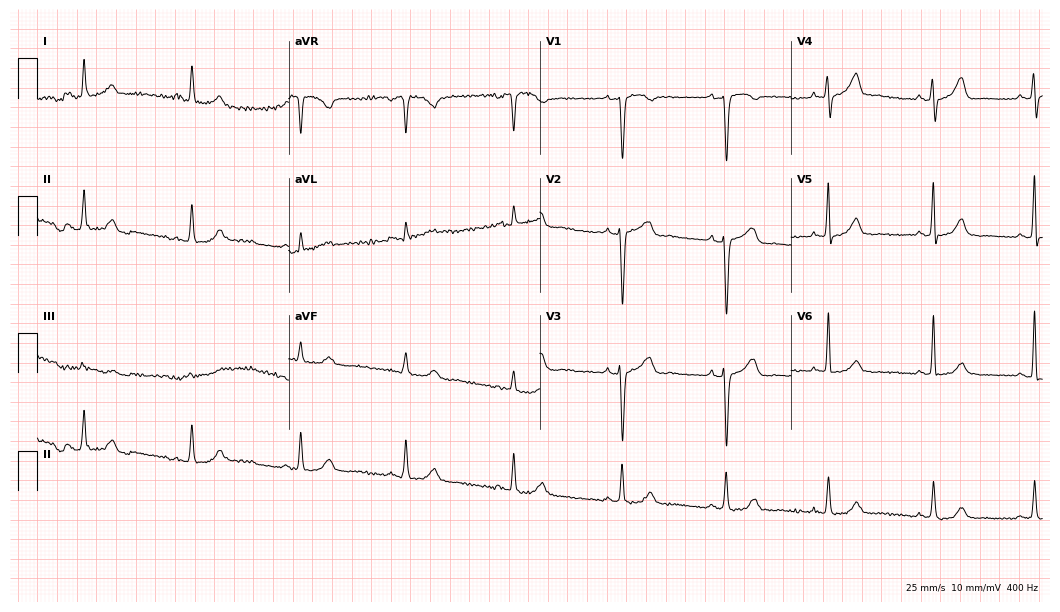
Standard 12-lead ECG recorded from a 66-year-old female (10.2-second recording at 400 Hz). None of these six findings is recorded: first-degree AV block, right bundle branch block, left bundle branch block, sinus bradycardia, atrial fibrillation, sinus tachycardia. Only these six findings were labelled.